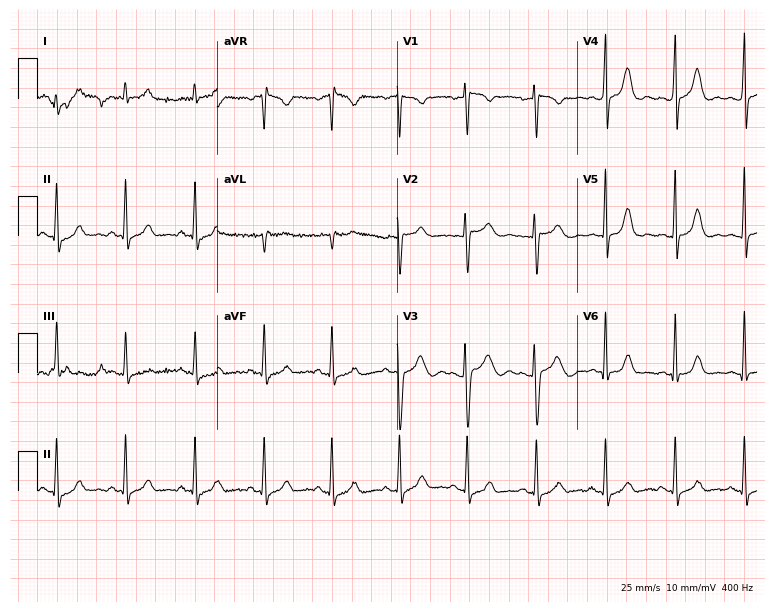
Resting 12-lead electrocardiogram. Patient: a female, 31 years old. Read as a normal ECG.